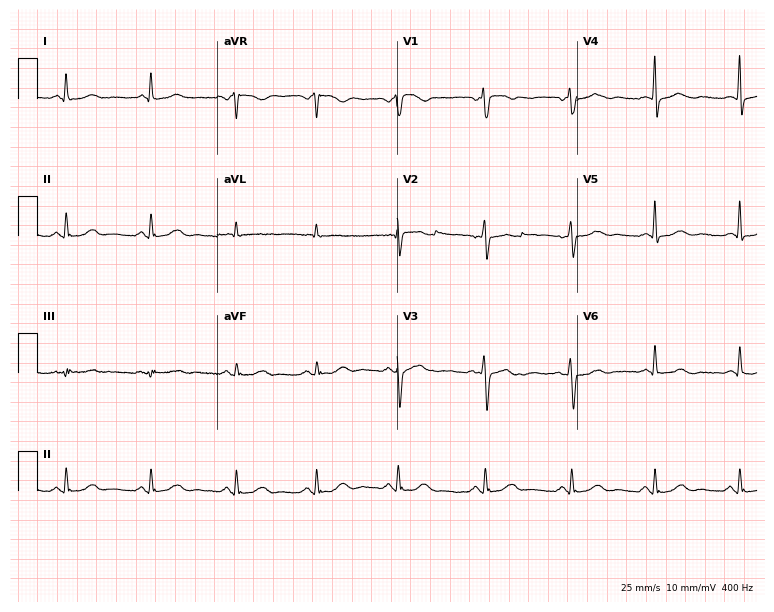
Standard 12-lead ECG recorded from a 54-year-old female (7.3-second recording at 400 Hz). Read as a normal ECG.